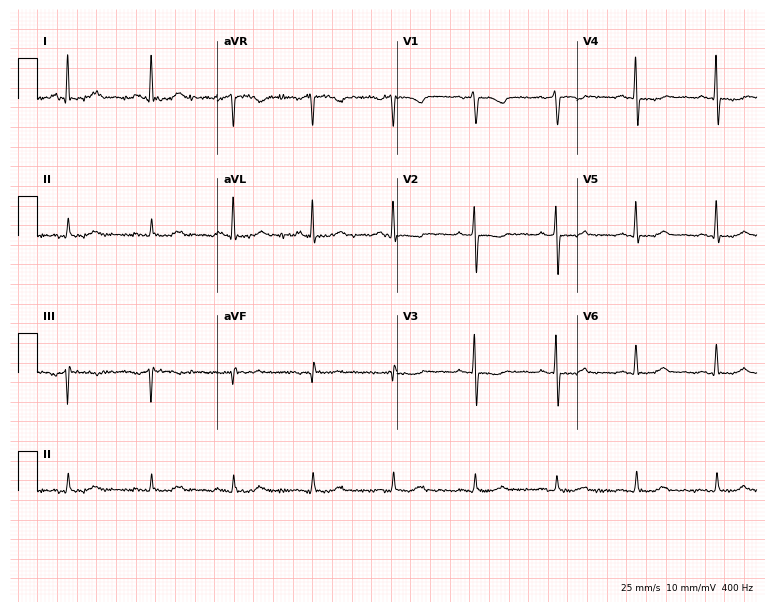
ECG — a female patient, 61 years old. Labelled as a normal ECG.